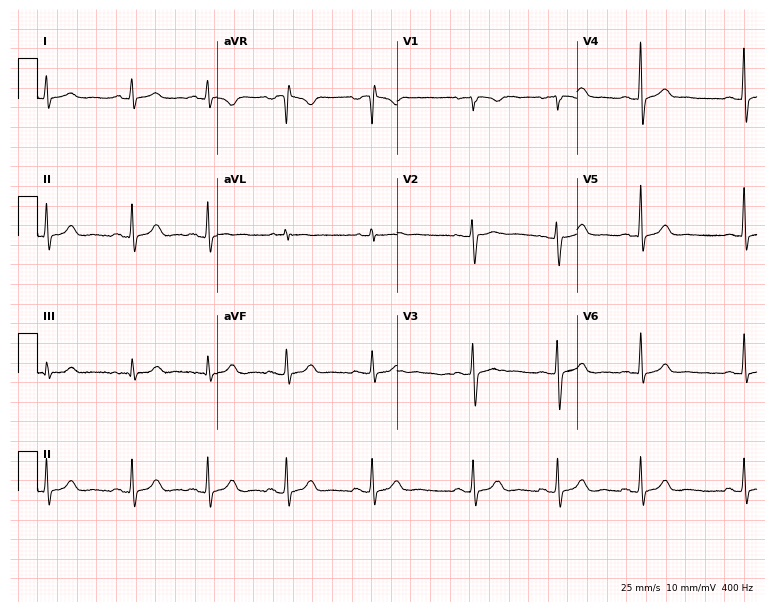
Standard 12-lead ECG recorded from a 26-year-old female. Read as a normal ECG.